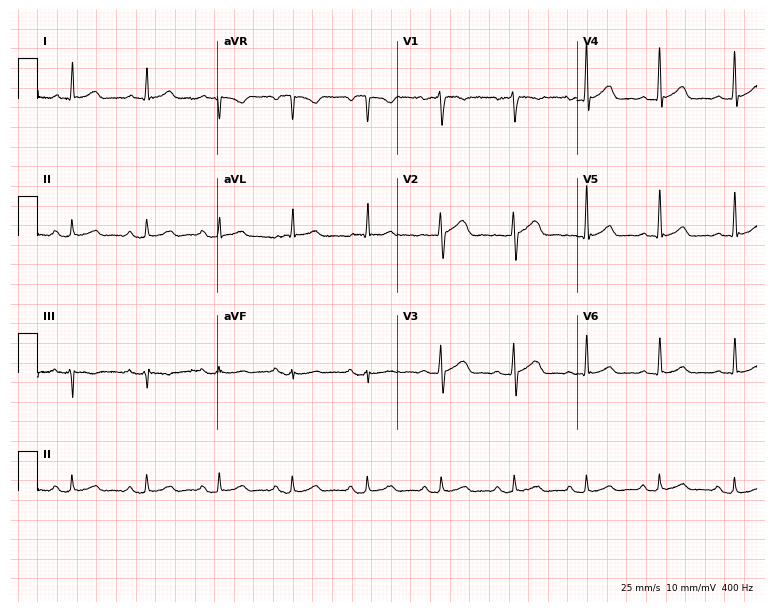
ECG — a male, 57 years old. Labelled as a normal ECG.